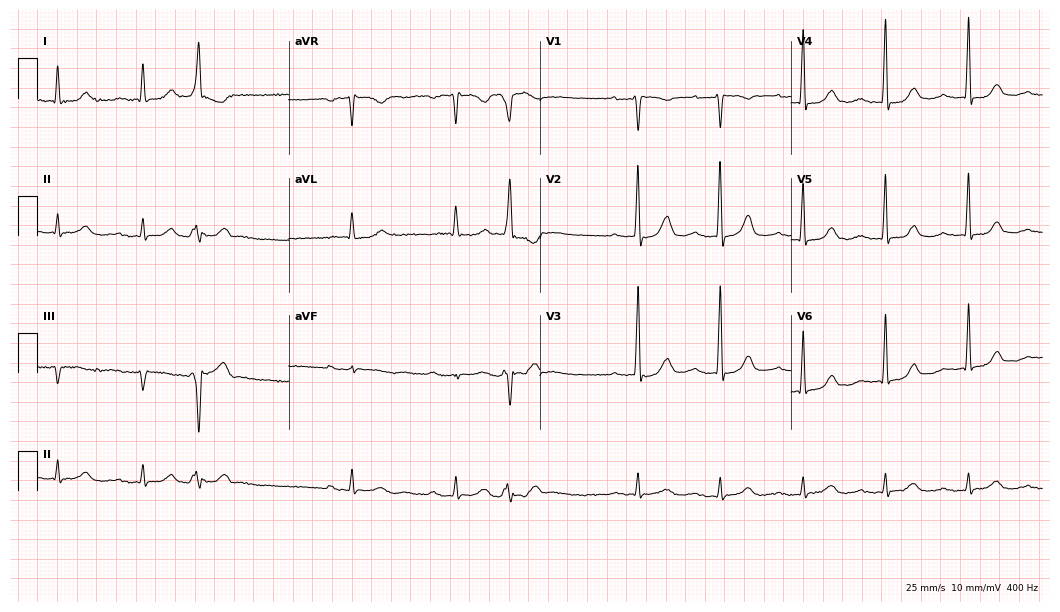
Electrocardiogram (10.2-second recording at 400 Hz), an 84-year-old male patient. Of the six screened findings (first-degree AV block, right bundle branch block, left bundle branch block, sinus bradycardia, atrial fibrillation, sinus tachycardia), none is recorded. Only these six findings were labelled.